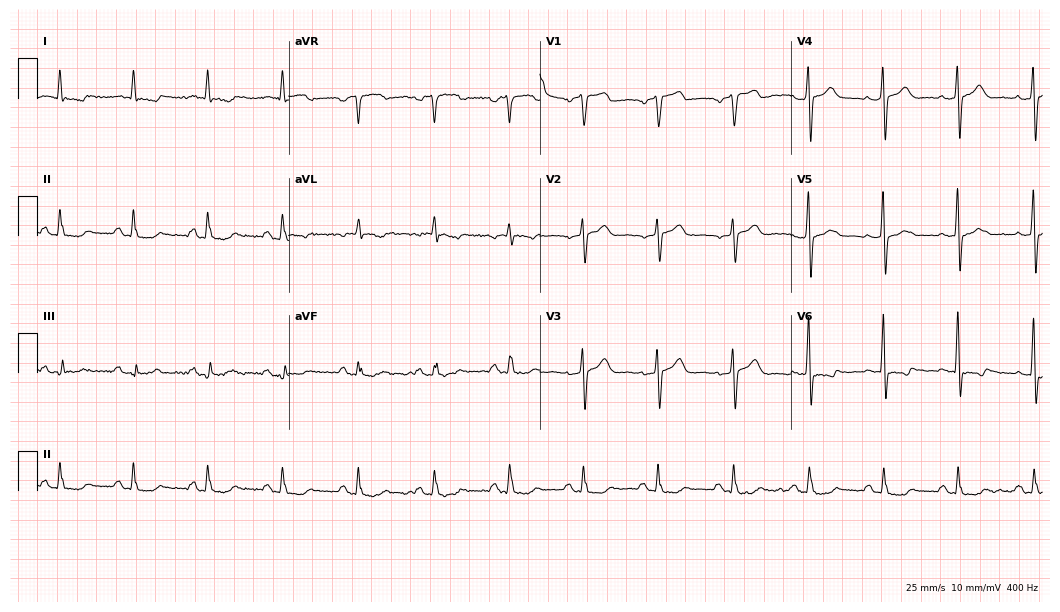
12-lead ECG (10.2-second recording at 400 Hz) from a man, 69 years old. Screened for six findings — first-degree AV block, right bundle branch block, left bundle branch block, sinus bradycardia, atrial fibrillation, sinus tachycardia — none is recorded. Findings outside these six are not listed.